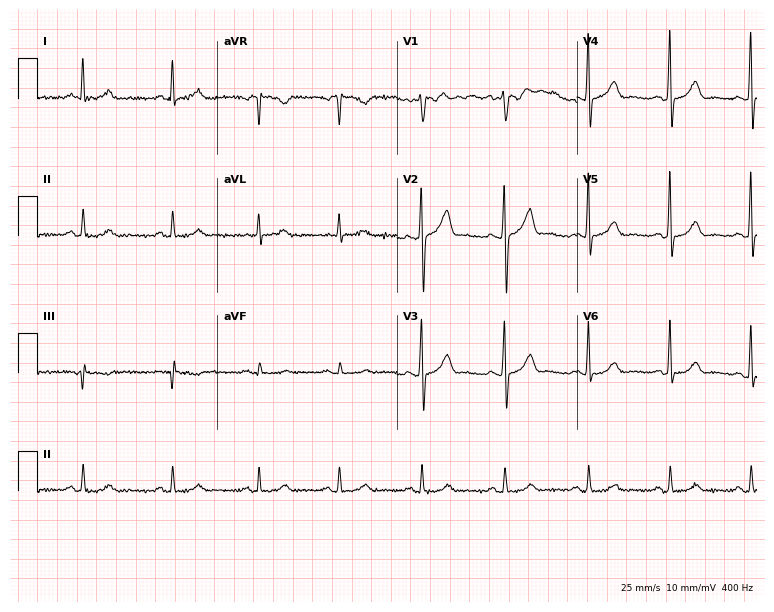
ECG — a male, 54 years old. Screened for six findings — first-degree AV block, right bundle branch block (RBBB), left bundle branch block (LBBB), sinus bradycardia, atrial fibrillation (AF), sinus tachycardia — none is recorded.